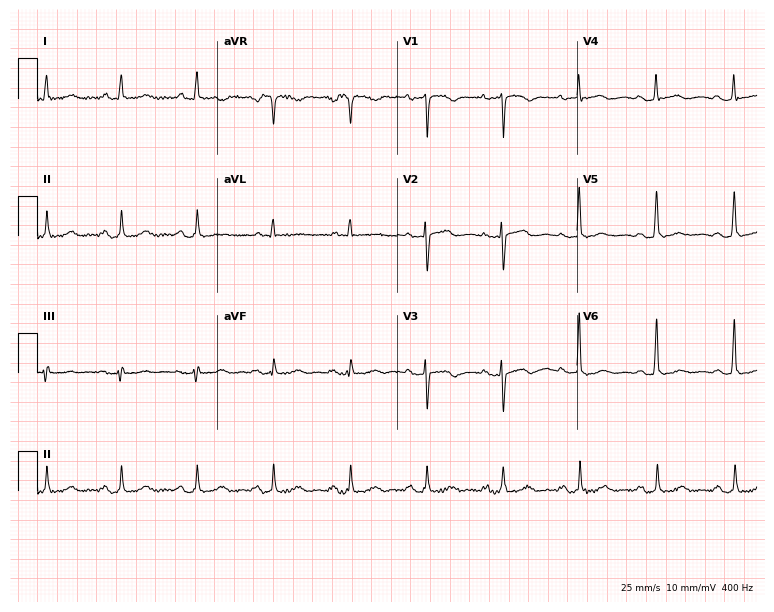
Standard 12-lead ECG recorded from a woman, 66 years old. Read as a normal ECG.